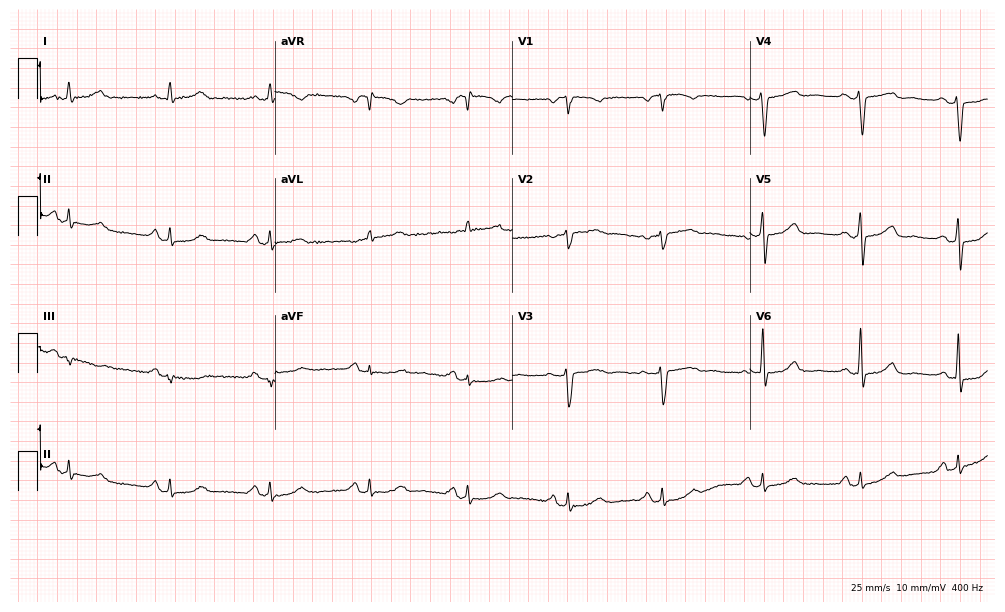
Resting 12-lead electrocardiogram. Patient: a woman, 51 years old. None of these six findings is recorded: first-degree AV block, right bundle branch block, left bundle branch block, sinus bradycardia, atrial fibrillation, sinus tachycardia. Other findings, if any, are not listed.